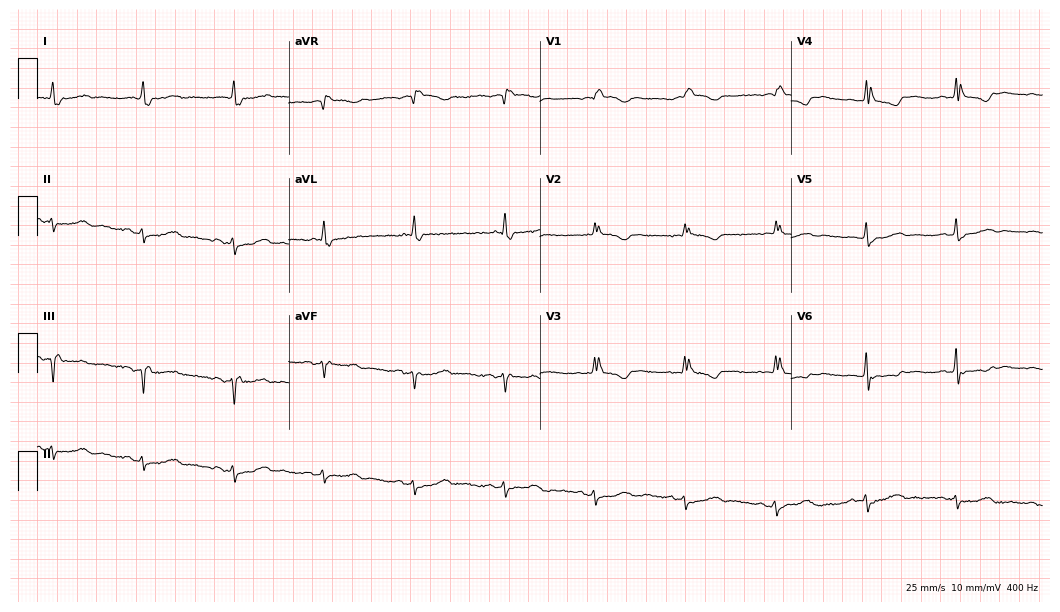
12-lead ECG from an 81-year-old female patient. Shows right bundle branch block.